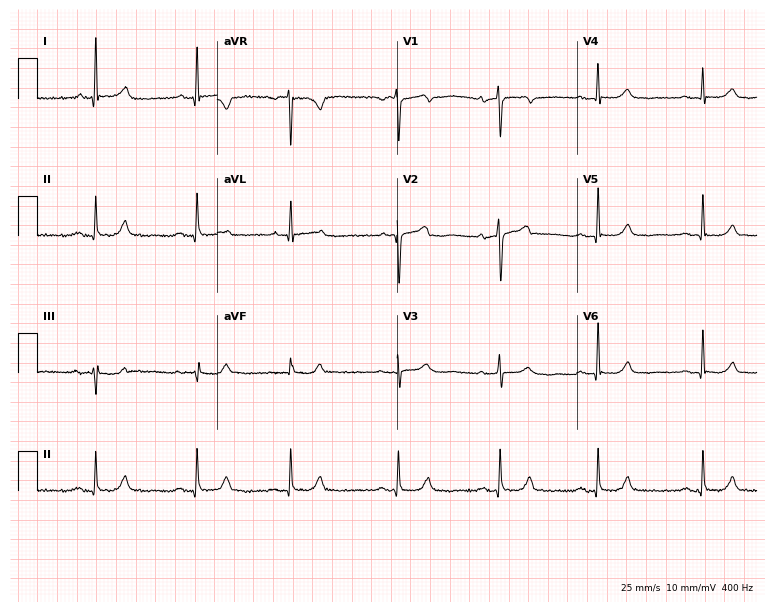
Electrocardiogram (7.3-second recording at 400 Hz), a female patient, 58 years old. Overall reading on record: normal ECG.